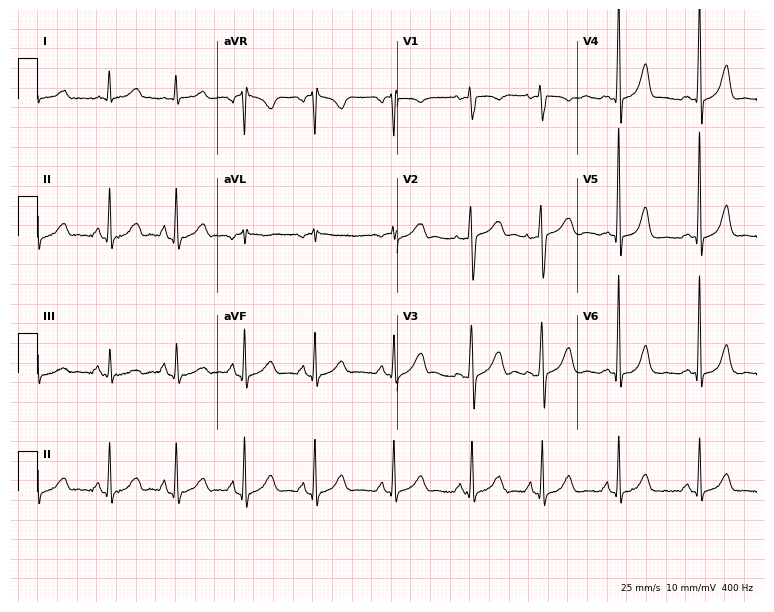
Standard 12-lead ECG recorded from a 68-year-old female (7.3-second recording at 400 Hz). Read as a normal ECG.